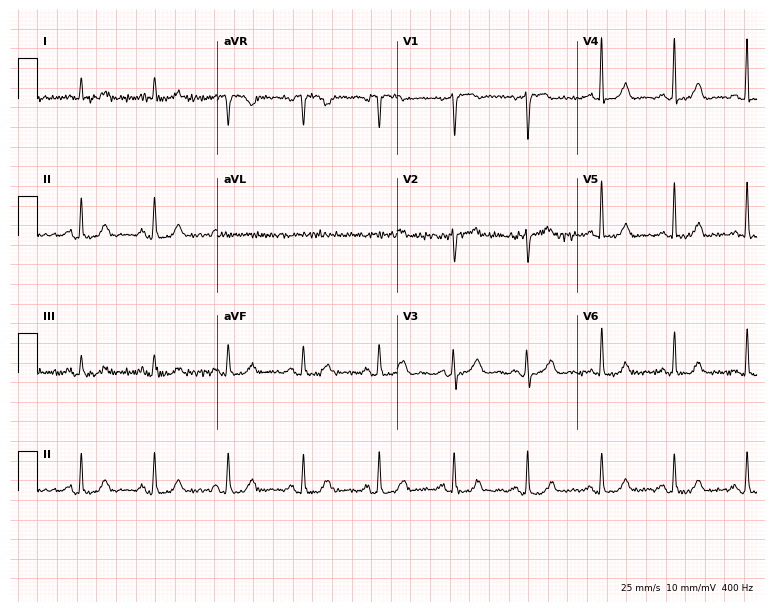
Standard 12-lead ECG recorded from a 66-year-old female patient. Read as a normal ECG.